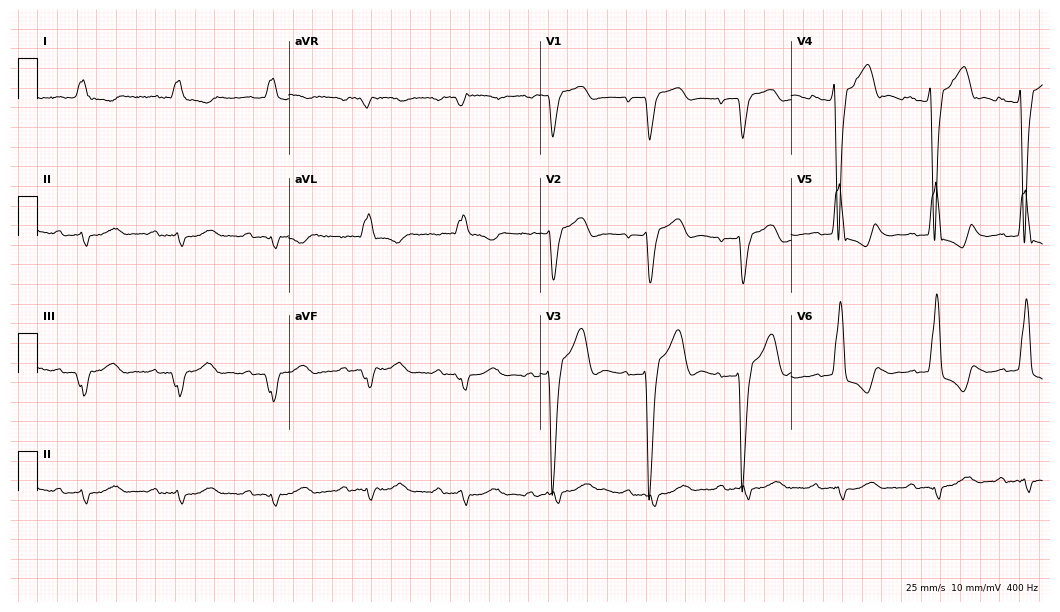
Electrocardiogram, an 82-year-old man. Of the six screened findings (first-degree AV block, right bundle branch block (RBBB), left bundle branch block (LBBB), sinus bradycardia, atrial fibrillation (AF), sinus tachycardia), none is recorded. Other findings, if any, are not listed.